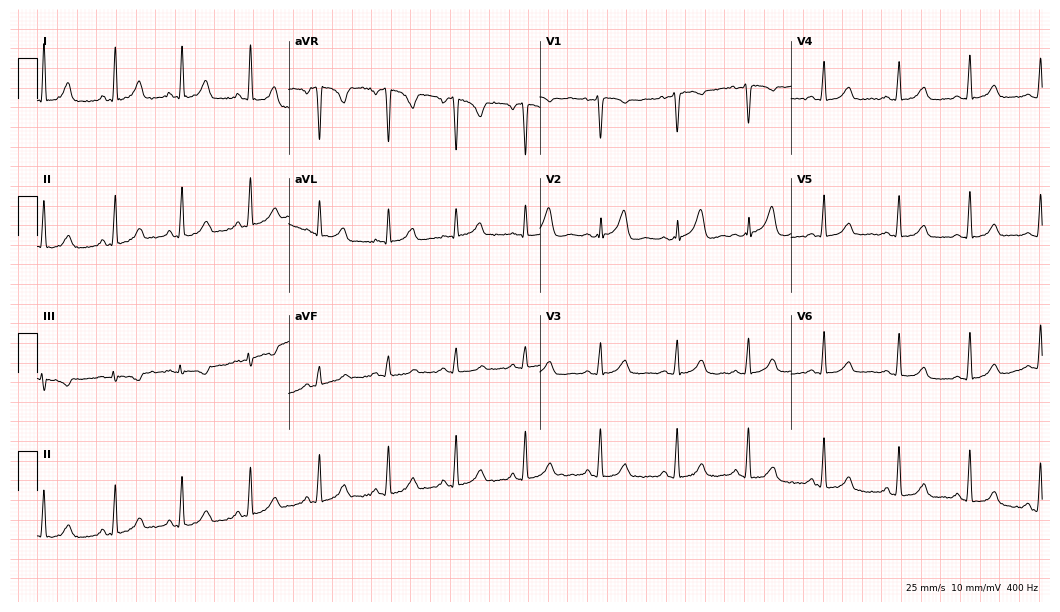
ECG (10.2-second recording at 400 Hz) — a female patient, 44 years old. Screened for six findings — first-degree AV block, right bundle branch block (RBBB), left bundle branch block (LBBB), sinus bradycardia, atrial fibrillation (AF), sinus tachycardia — none is recorded.